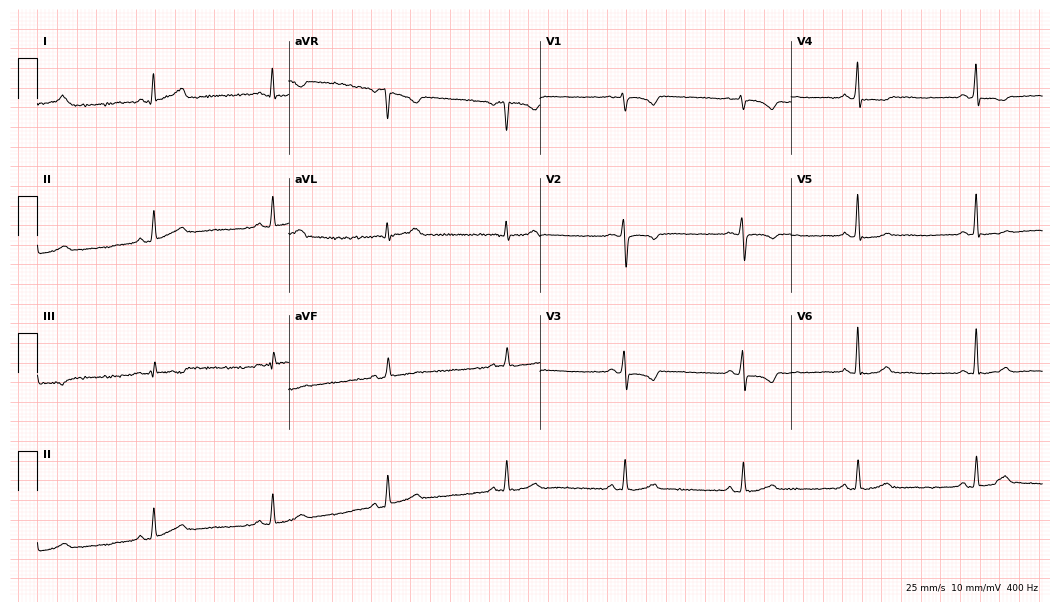
Electrocardiogram (10.2-second recording at 400 Hz), a 55-year-old female patient. Of the six screened findings (first-degree AV block, right bundle branch block (RBBB), left bundle branch block (LBBB), sinus bradycardia, atrial fibrillation (AF), sinus tachycardia), none is recorded.